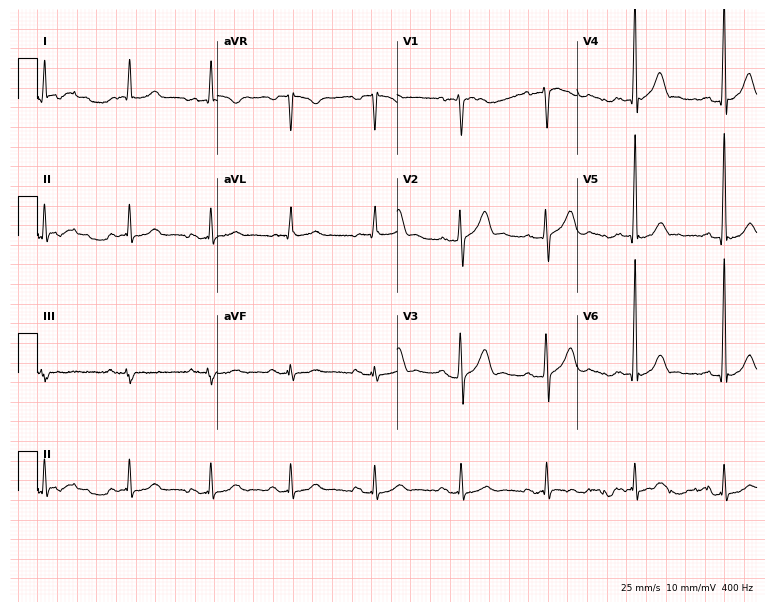
Resting 12-lead electrocardiogram. Patient: a man, 67 years old. Read as a normal ECG.